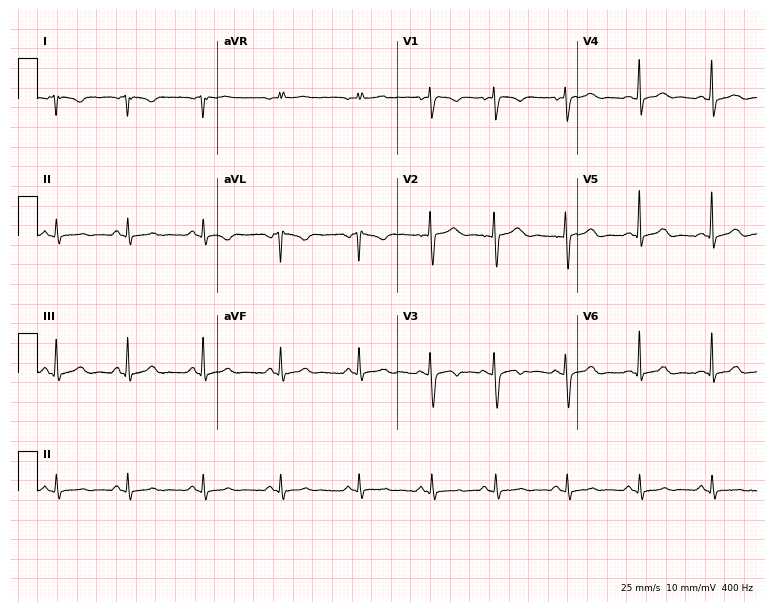
12-lead ECG (7.3-second recording at 400 Hz) from a 31-year-old woman. Screened for six findings — first-degree AV block, right bundle branch block, left bundle branch block, sinus bradycardia, atrial fibrillation, sinus tachycardia — none is recorded.